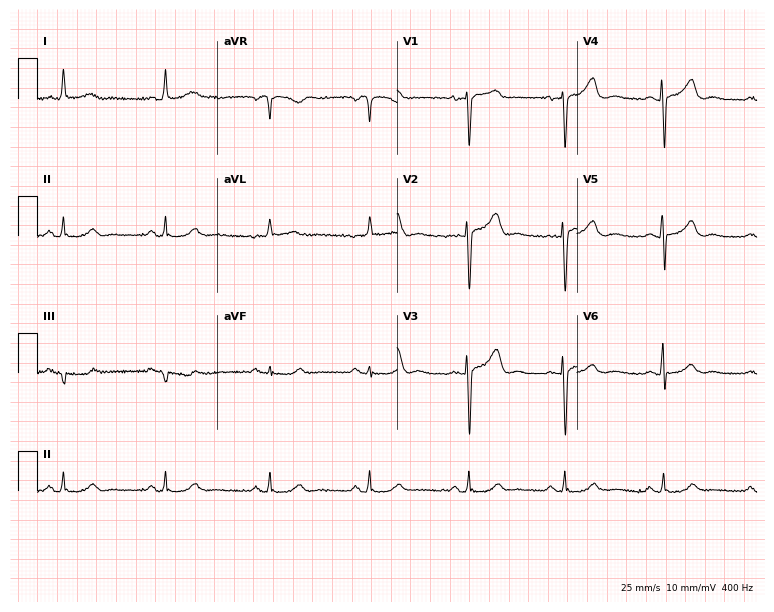
Standard 12-lead ECG recorded from a male, 65 years old (7.3-second recording at 400 Hz). Read as a normal ECG.